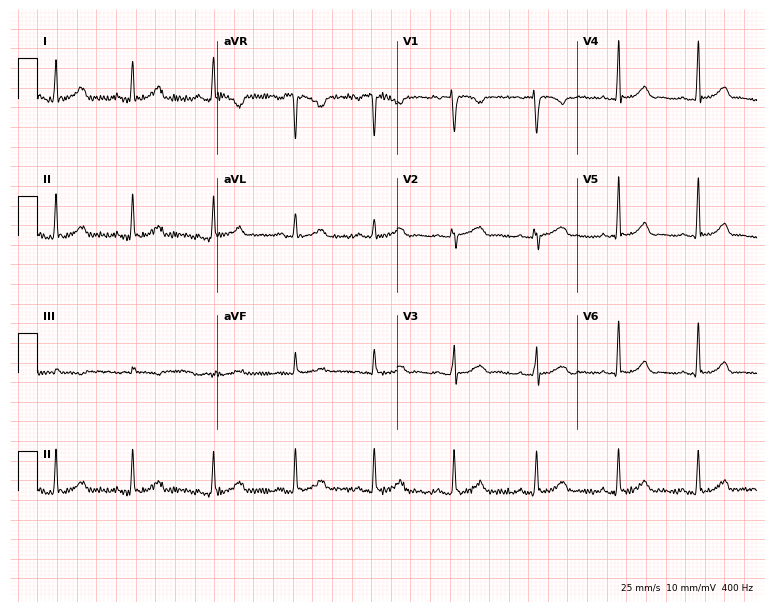
ECG — a female, 32 years old. Labelled as a normal ECG.